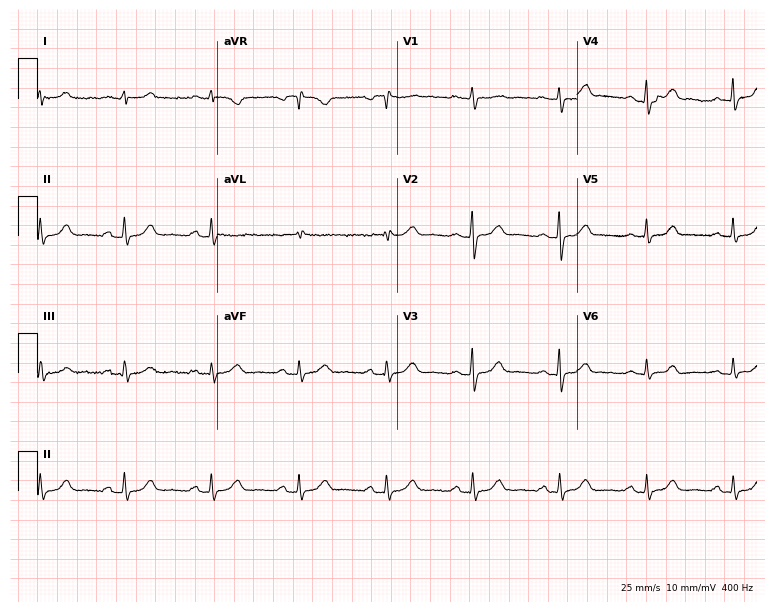
ECG (7.3-second recording at 400 Hz) — a 50-year-old female. Screened for six findings — first-degree AV block, right bundle branch block, left bundle branch block, sinus bradycardia, atrial fibrillation, sinus tachycardia — none is recorded.